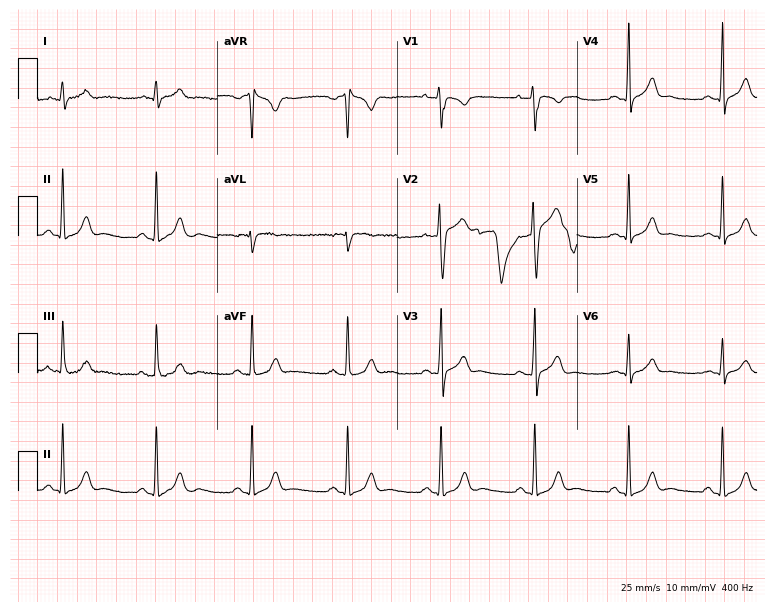
ECG (7.3-second recording at 400 Hz) — a man, 23 years old. Labelled as a normal ECG.